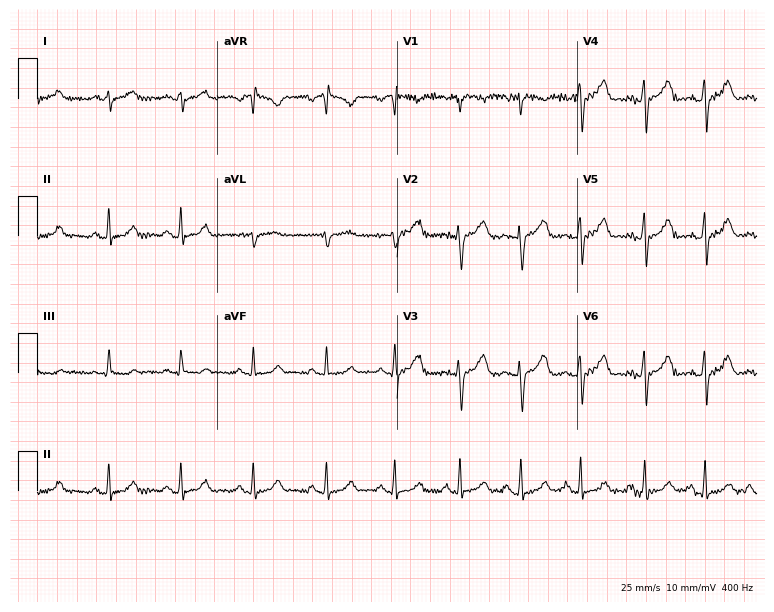
ECG — a 24-year-old woman. Screened for six findings — first-degree AV block, right bundle branch block, left bundle branch block, sinus bradycardia, atrial fibrillation, sinus tachycardia — none is recorded.